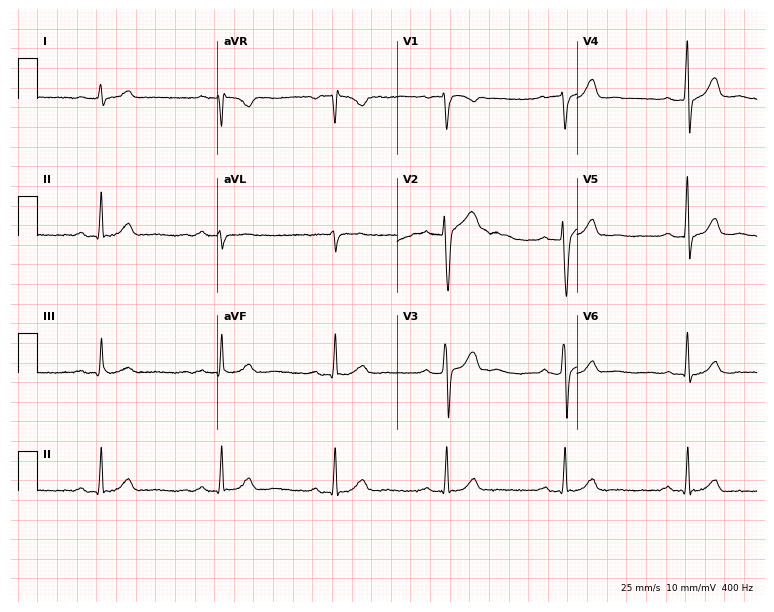
Standard 12-lead ECG recorded from a 48-year-old male. None of these six findings is recorded: first-degree AV block, right bundle branch block (RBBB), left bundle branch block (LBBB), sinus bradycardia, atrial fibrillation (AF), sinus tachycardia.